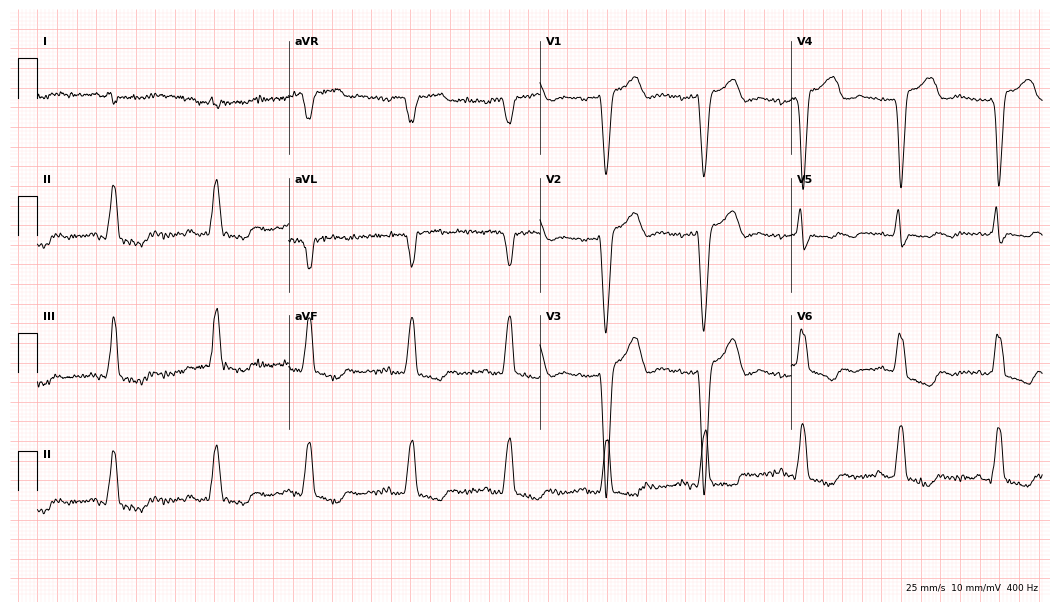
Resting 12-lead electrocardiogram. Patient: a 68-year-old woman. The tracing shows left bundle branch block (LBBB).